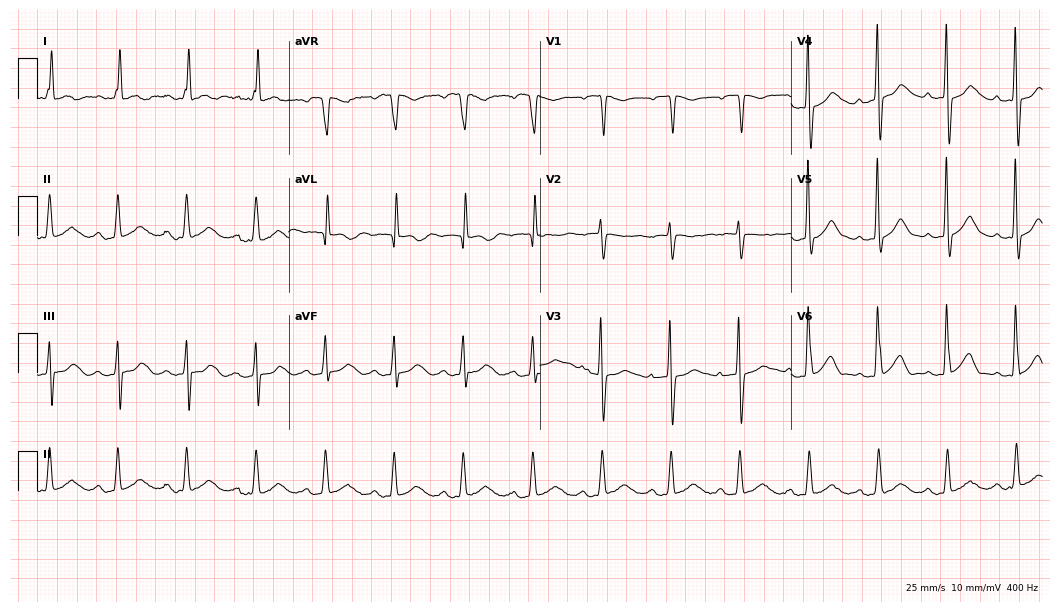
Electrocardiogram (10.2-second recording at 400 Hz), a woman, 83 years old. Overall reading on record: normal ECG.